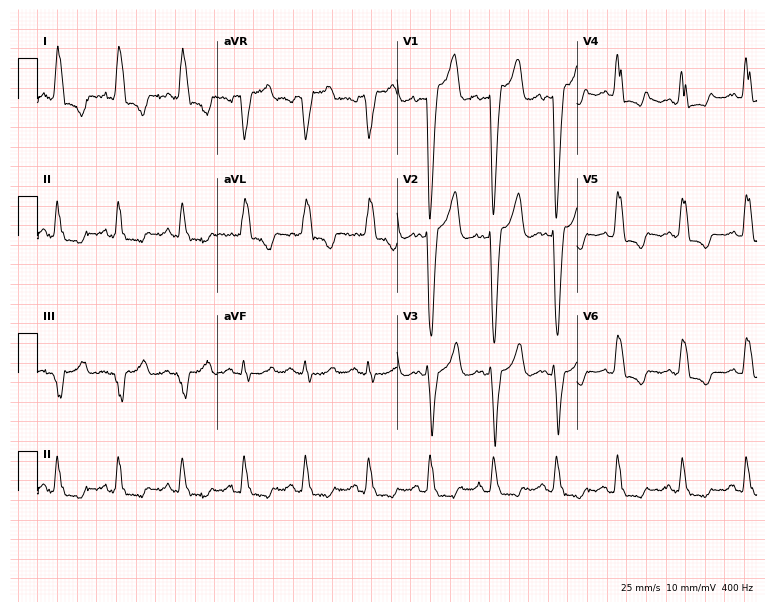
Electrocardiogram, a 76-year-old female. Interpretation includes left bundle branch block (LBBB).